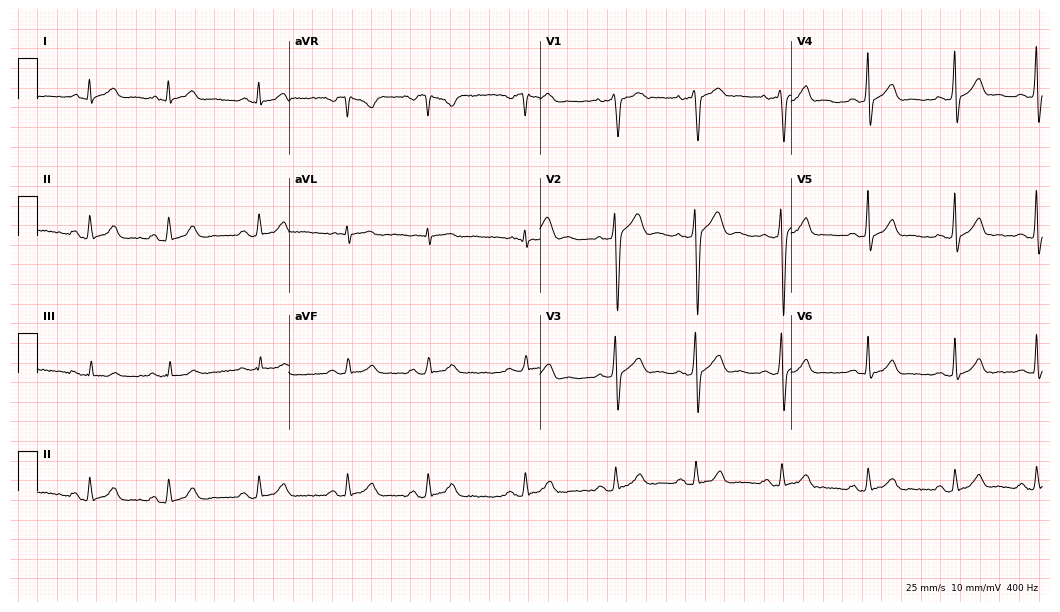
ECG (10.2-second recording at 400 Hz) — a 30-year-old male patient. Labelled as a normal ECG.